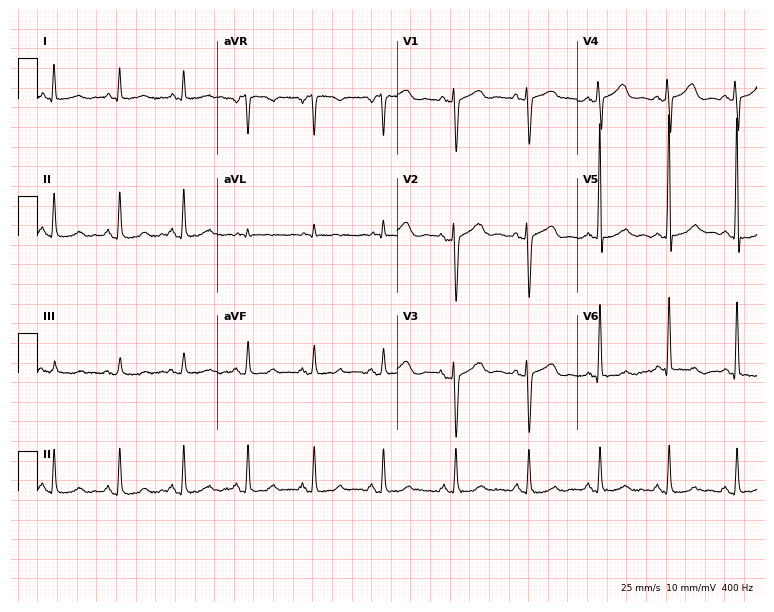
Resting 12-lead electrocardiogram (7.3-second recording at 400 Hz). Patient: a 49-year-old male. None of these six findings is recorded: first-degree AV block, right bundle branch block, left bundle branch block, sinus bradycardia, atrial fibrillation, sinus tachycardia. Other findings, if any, are not listed.